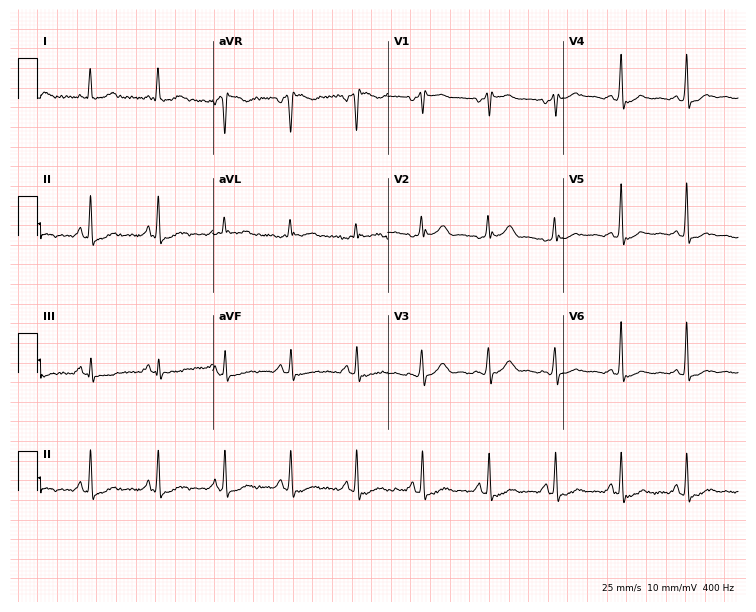
12-lead ECG from a 58-year-old woman. Screened for six findings — first-degree AV block, right bundle branch block, left bundle branch block, sinus bradycardia, atrial fibrillation, sinus tachycardia — none is recorded. Other findings, if any, are not listed.